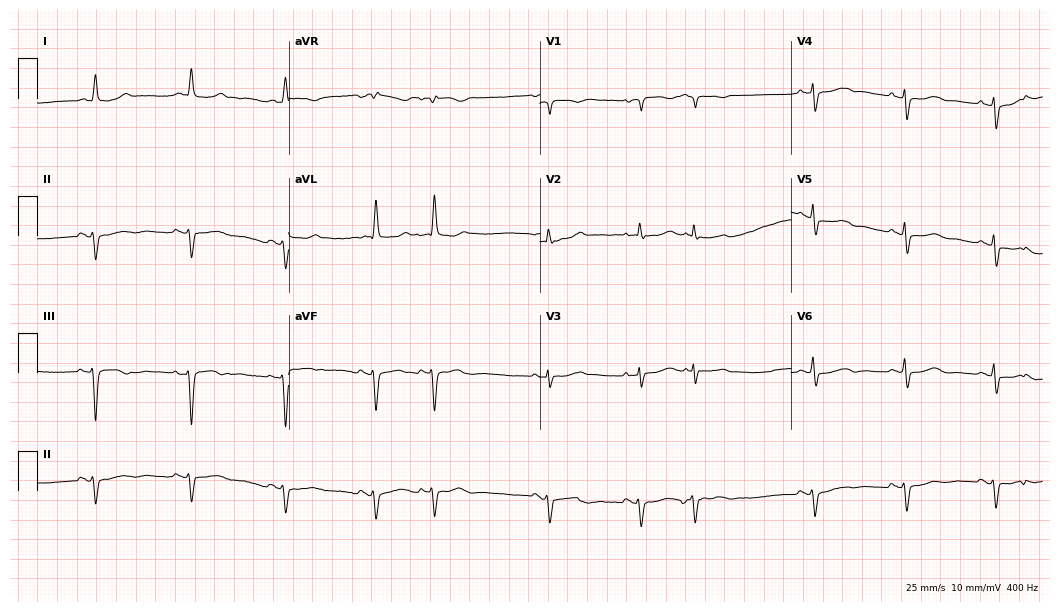
12-lead ECG from a female patient, 77 years old (10.2-second recording at 400 Hz). No first-degree AV block, right bundle branch block (RBBB), left bundle branch block (LBBB), sinus bradycardia, atrial fibrillation (AF) or sinus tachycardia recorded for this tracing.